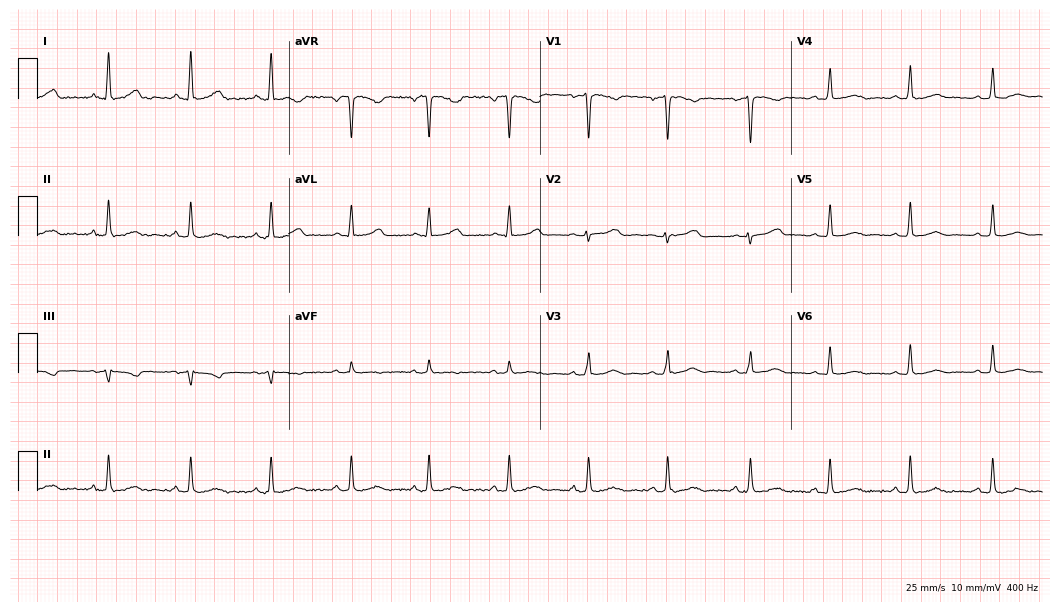
12-lead ECG from a 31-year-old woman. Recorded interpretation: within normal limits.